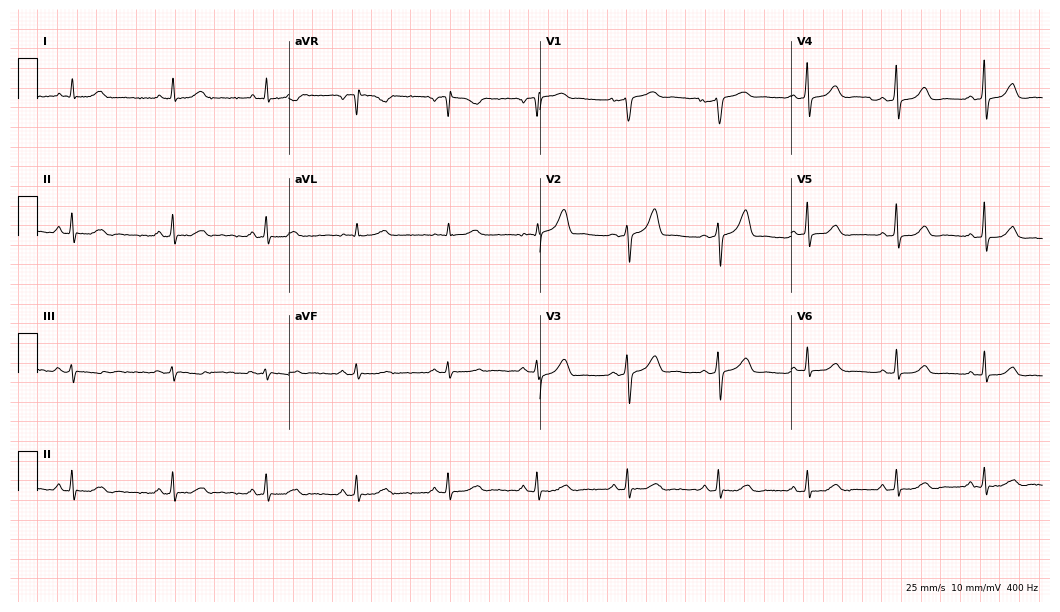
Electrocardiogram, a woman, 48 years old. Overall reading on record: normal ECG.